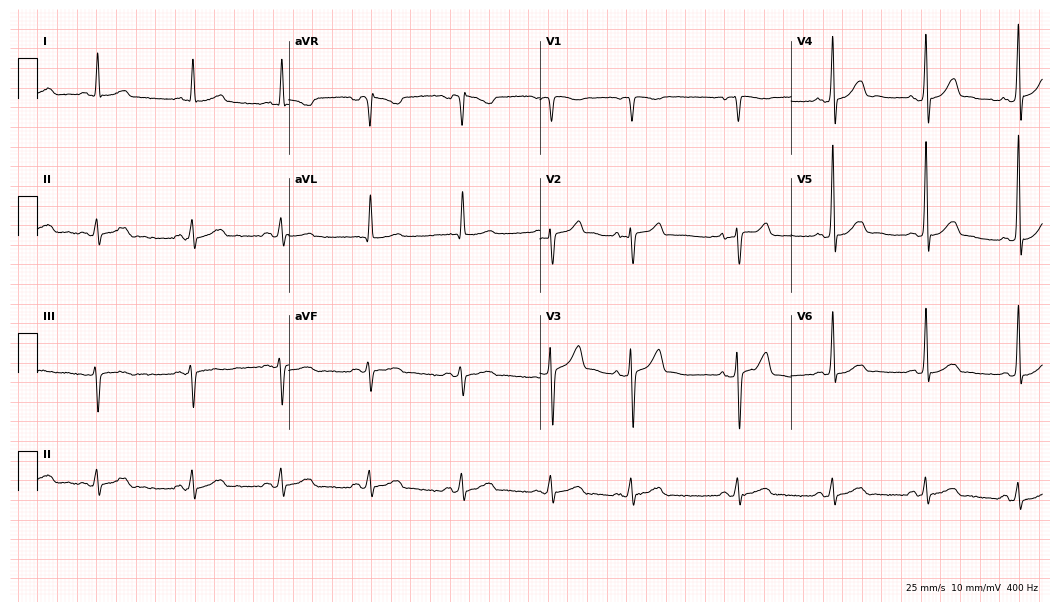
Standard 12-lead ECG recorded from a female patient, 61 years old (10.2-second recording at 400 Hz). Read as a normal ECG.